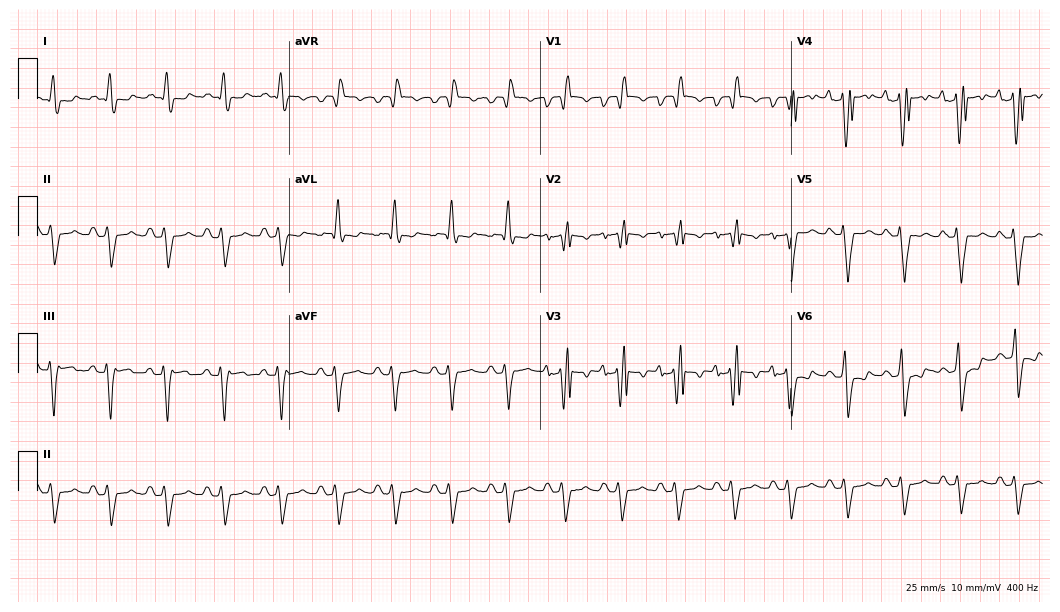
Standard 12-lead ECG recorded from a 74-year-old male. The tracing shows right bundle branch block (RBBB), sinus tachycardia (a sinus rate of 100 beats per minute or more).